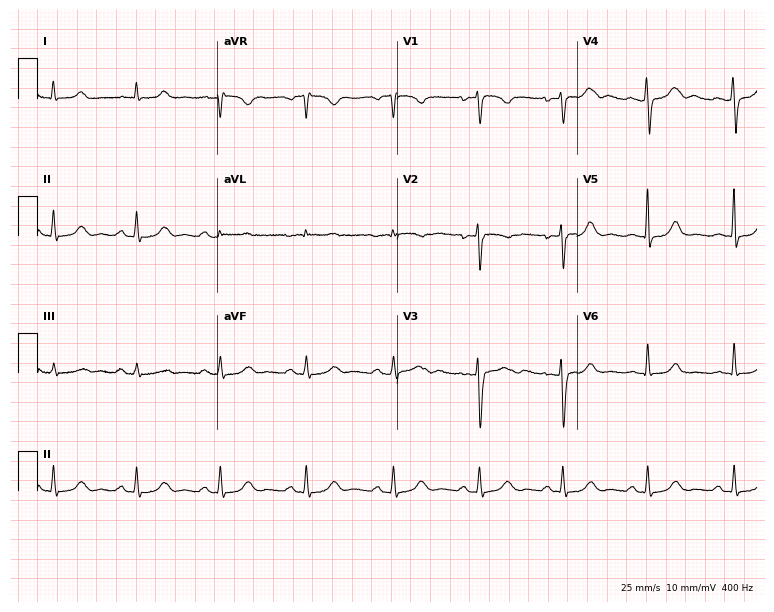
ECG — a 36-year-old female patient. Labelled as a normal ECG.